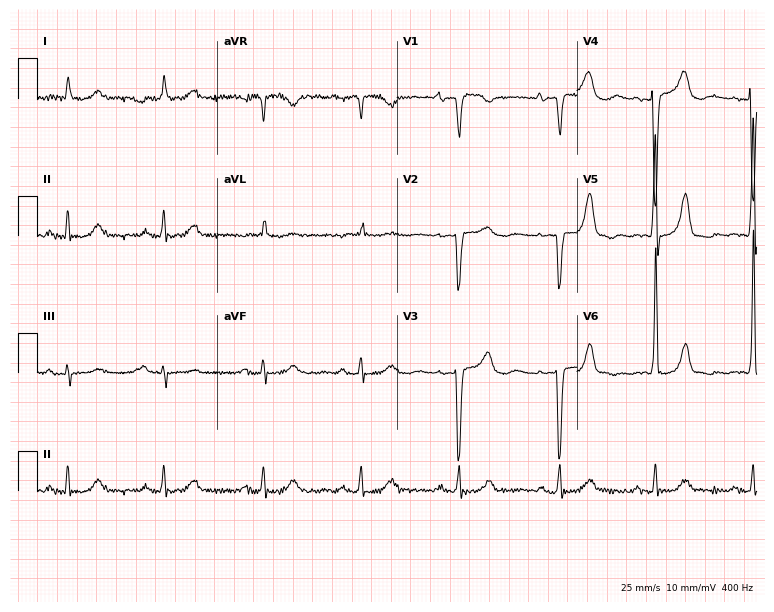
12-lead ECG from a 78-year-old female (7.3-second recording at 400 Hz). No first-degree AV block, right bundle branch block, left bundle branch block, sinus bradycardia, atrial fibrillation or sinus tachycardia recorded for this tracing. Findings outside these six are not listed.